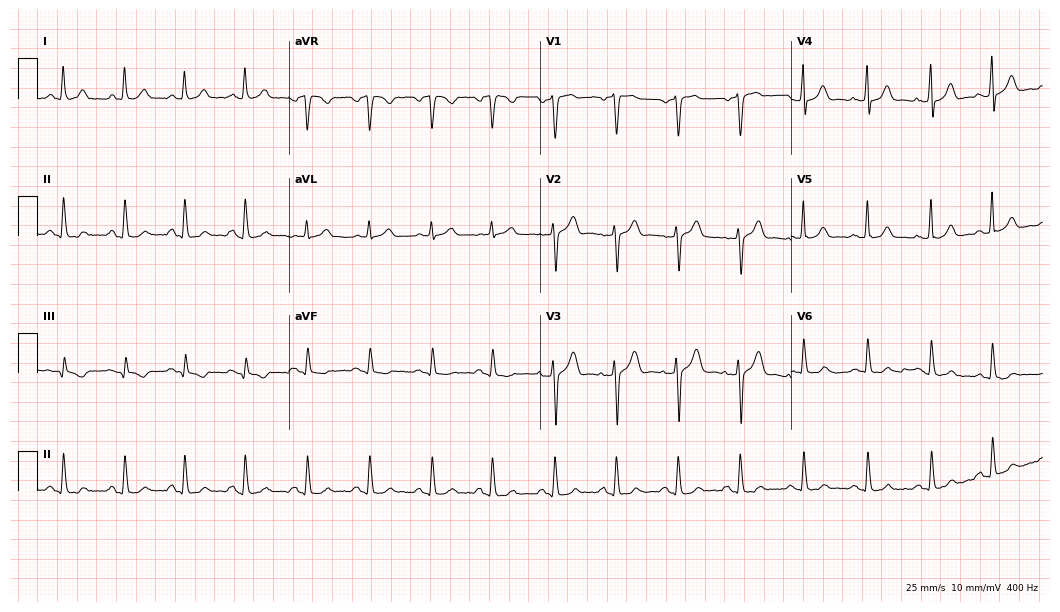
Resting 12-lead electrocardiogram. Patient: a female, 40 years old. None of these six findings is recorded: first-degree AV block, right bundle branch block, left bundle branch block, sinus bradycardia, atrial fibrillation, sinus tachycardia.